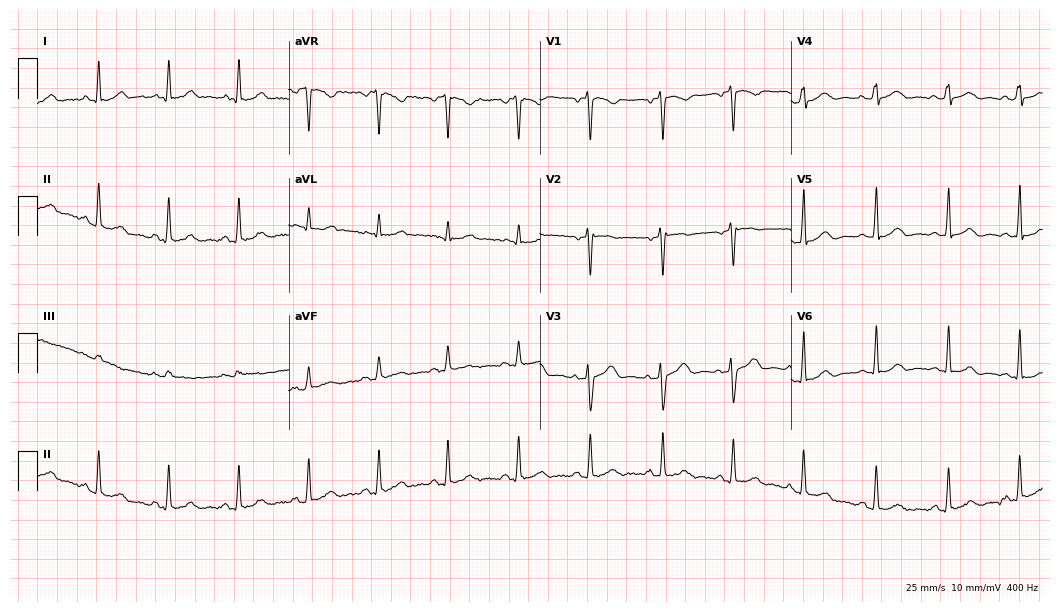
ECG — a 40-year-old woman. Labelled as a normal ECG.